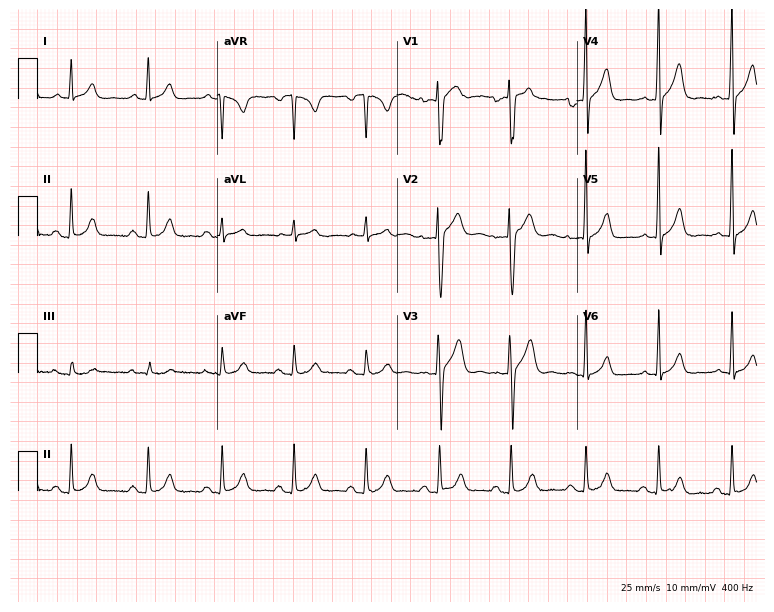
12-lead ECG from a 25-year-old male. Screened for six findings — first-degree AV block, right bundle branch block (RBBB), left bundle branch block (LBBB), sinus bradycardia, atrial fibrillation (AF), sinus tachycardia — none is recorded.